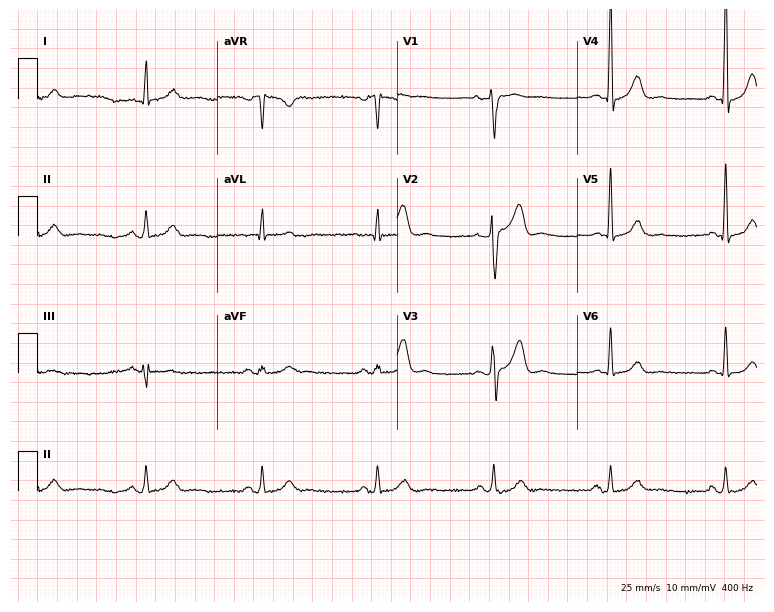
ECG (7.3-second recording at 400 Hz) — a male, 54 years old. Labelled as a normal ECG.